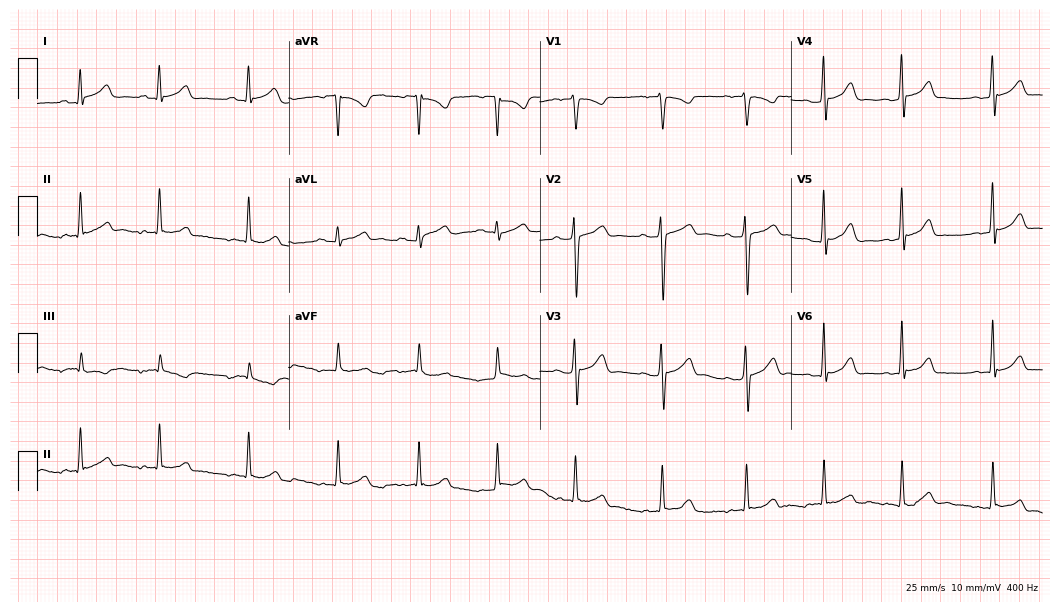
Resting 12-lead electrocardiogram (10.2-second recording at 400 Hz). Patient: an 18-year-old female. Read as a normal ECG.